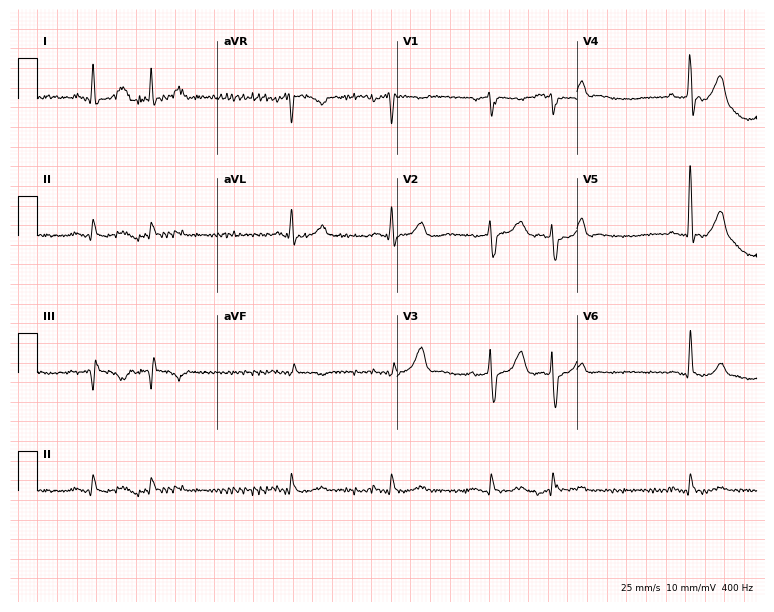
12-lead ECG from a 68-year-old male. Screened for six findings — first-degree AV block, right bundle branch block, left bundle branch block, sinus bradycardia, atrial fibrillation, sinus tachycardia — none is recorded. Findings outside these six are not listed.